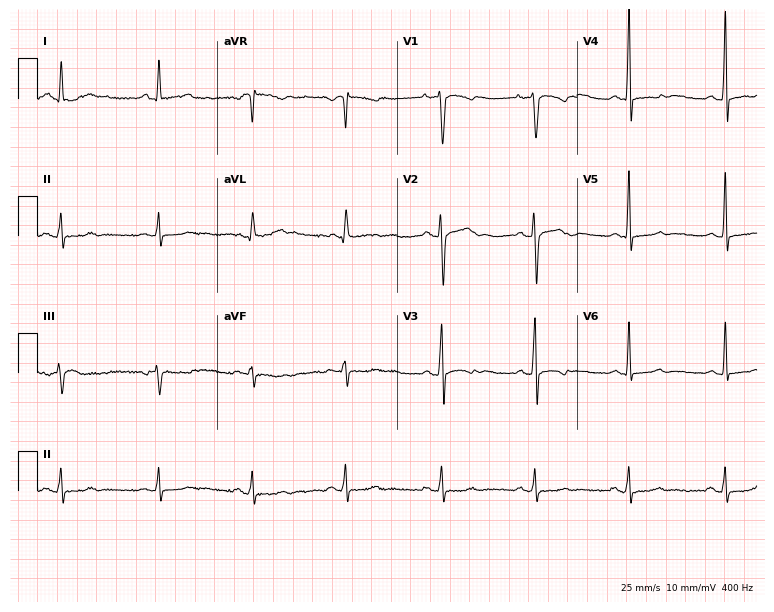
ECG (7.3-second recording at 400 Hz) — a female patient, 34 years old. Screened for six findings — first-degree AV block, right bundle branch block, left bundle branch block, sinus bradycardia, atrial fibrillation, sinus tachycardia — none is recorded. Only these six findings were labelled.